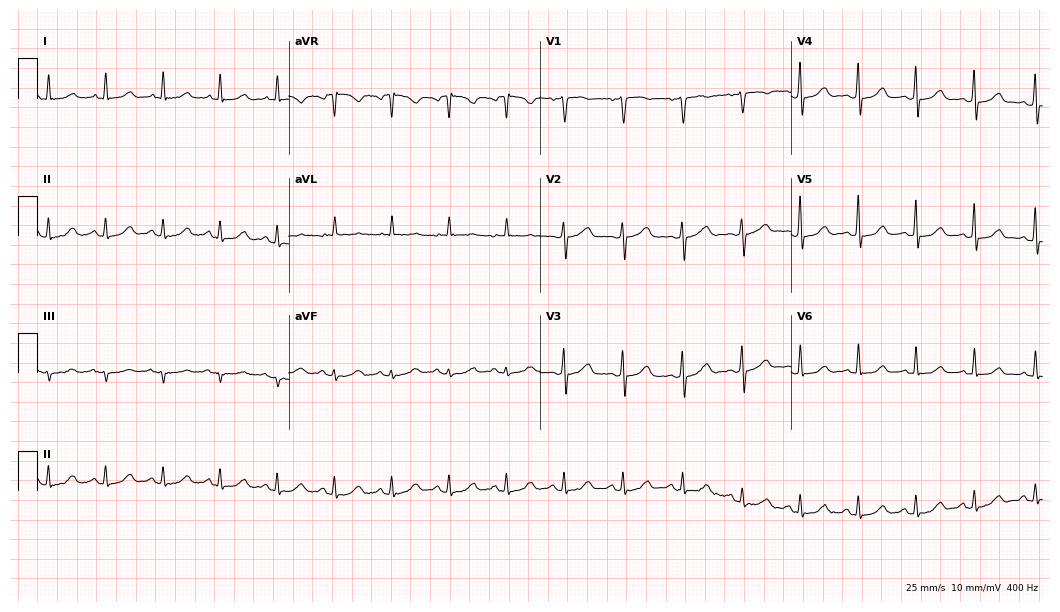
12-lead ECG from a woman, 56 years old (10.2-second recording at 400 Hz). No first-degree AV block, right bundle branch block (RBBB), left bundle branch block (LBBB), sinus bradycardia, atrial fibrillation (AF) or sinus tachycardia recorded for this tracing. Other findings, if any, are not listed.